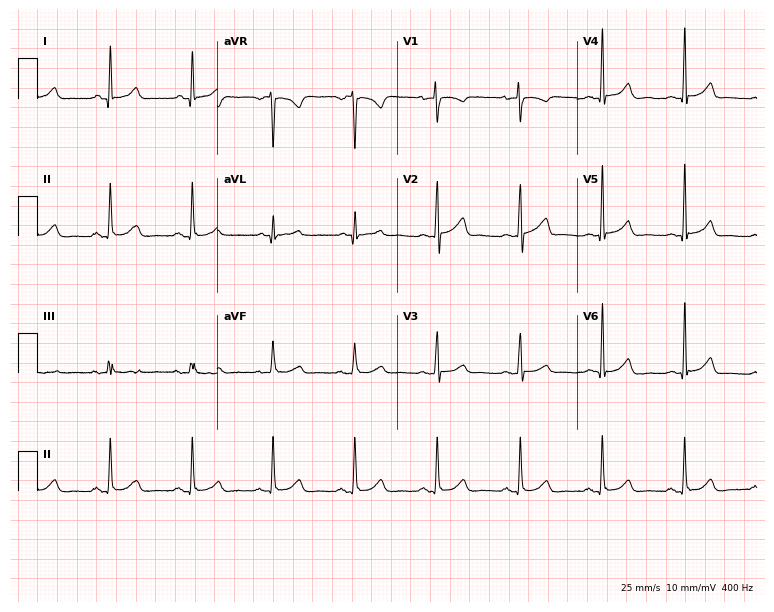
Standard 12-lead ECG recorded from a female, 43 years old (7.3-second recording at 400 Hz). None of these six findings is recorded: first-degree AV block, right bundle branch block, left bundle branch block, sinus bradycardia, atrial fibrillation, sinus tachycardia. Only these six findings were labelled.